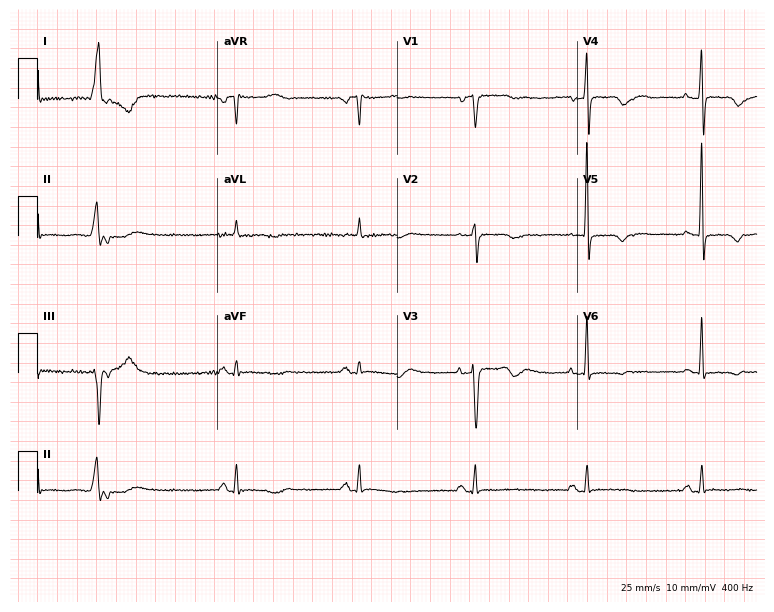
12-lead ECG from a 60-year-old female. No first-degree AV block, right bundle branch block, left bundle branch block, sinus bradycardia, atrial fibrillation or sinus tachycardia recorded for this tracing.